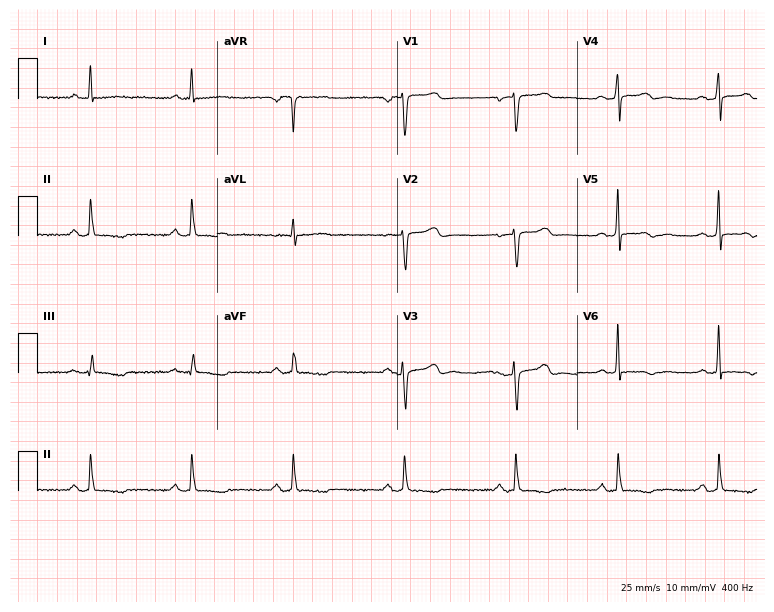
12-lead ECG from a woman, 53 years old (7.3-second recording at 400 Hz). No first-degree AV block, right bundle branch block (RBBB), left bundle branch block (LBBB), sinus bradycardia, atrial fibrillation (AF) or sinus tachycardia recorded for this tracing.